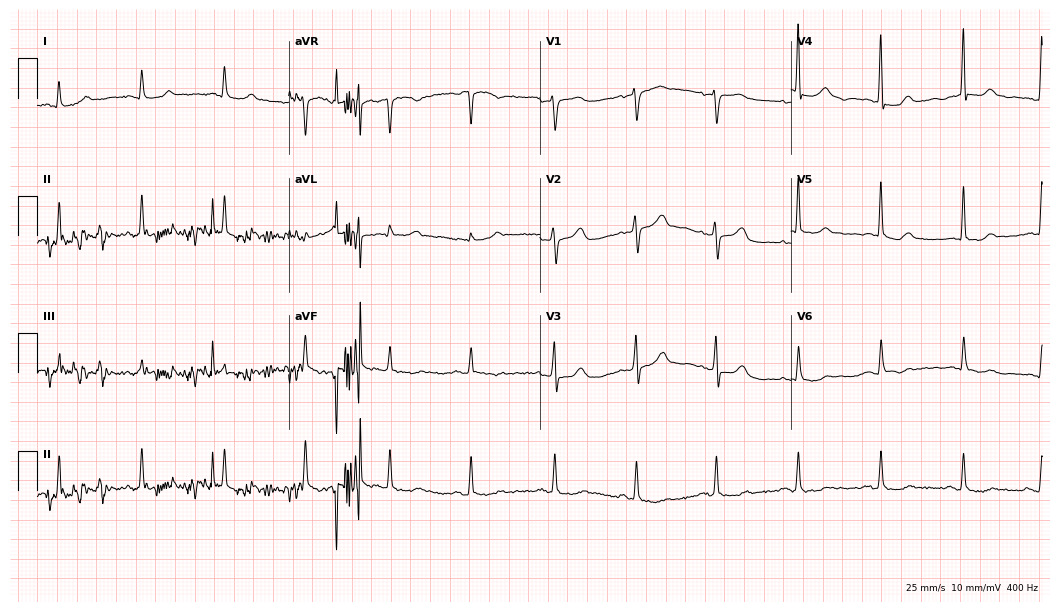
ECG — a 65-year-old female patient. Screened for six findings — first-degree AV block, right bundle branch block, left bundle branch block, sinus bradycardia, atrial fibrillation, sinus tachycardia — none is recorded. Other findings, if any, are not listed.